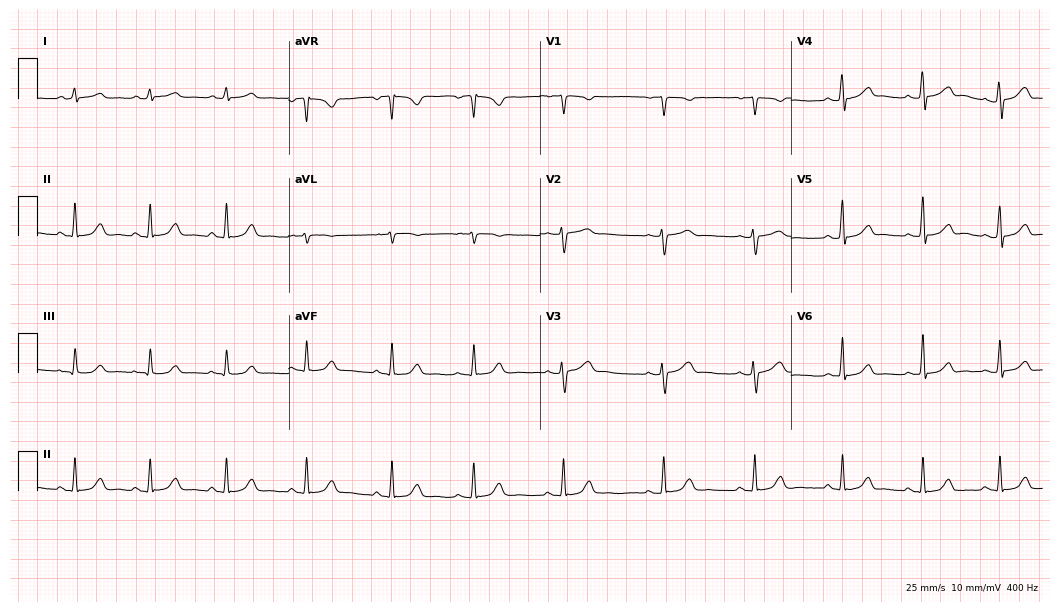
12-lead ECG from a 40-year-old female patient. Recorded interpretation: within normal limits.